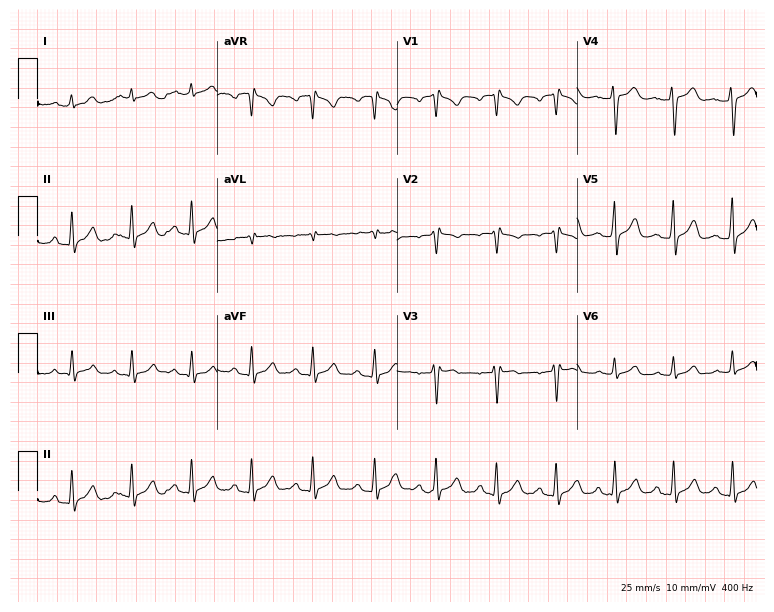
12-lead ECG from a 32-year-old man. Screened for six findings — first-degree AV block, right bundle branch block (RBBB), left bundle branch block (LBBB), sinus bradycardia, atrial fibrillation (AF), sinus tachycardia — none is recorded.